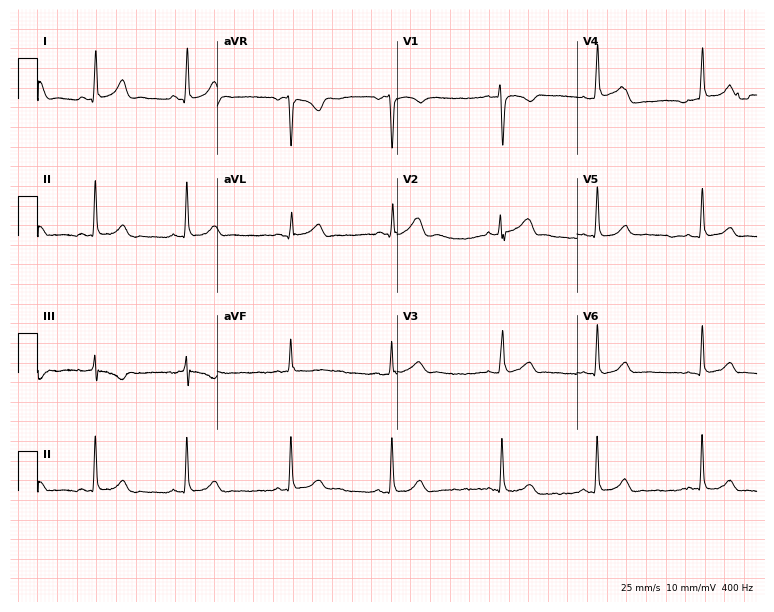
12-lead ECG from a 24-year-old female. Labelled as a normal ECG.